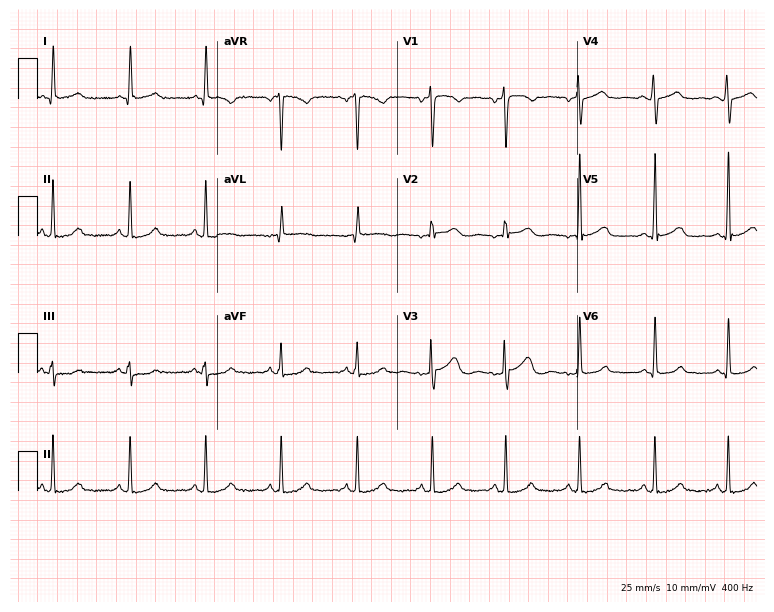
Standard 12-lead ECG recorded from a woman, 46 years old. Read as a normal ECG.